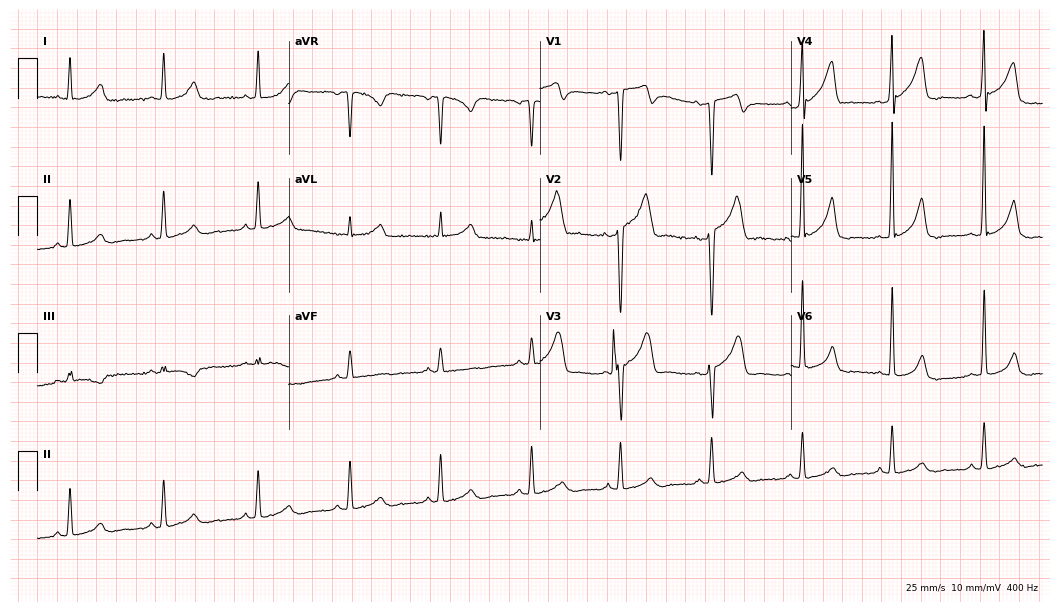
12-lead ECG (10.2-second recording at 400 Hz) from a 52-year-old male patient. Screened for six findings — first-degree AV block, right bundle branch block, left bundle branch block, sinus bradycardia, atrial fibrillation, sinus tachycardia — none is recorded. Other findings, if any, are not listed.